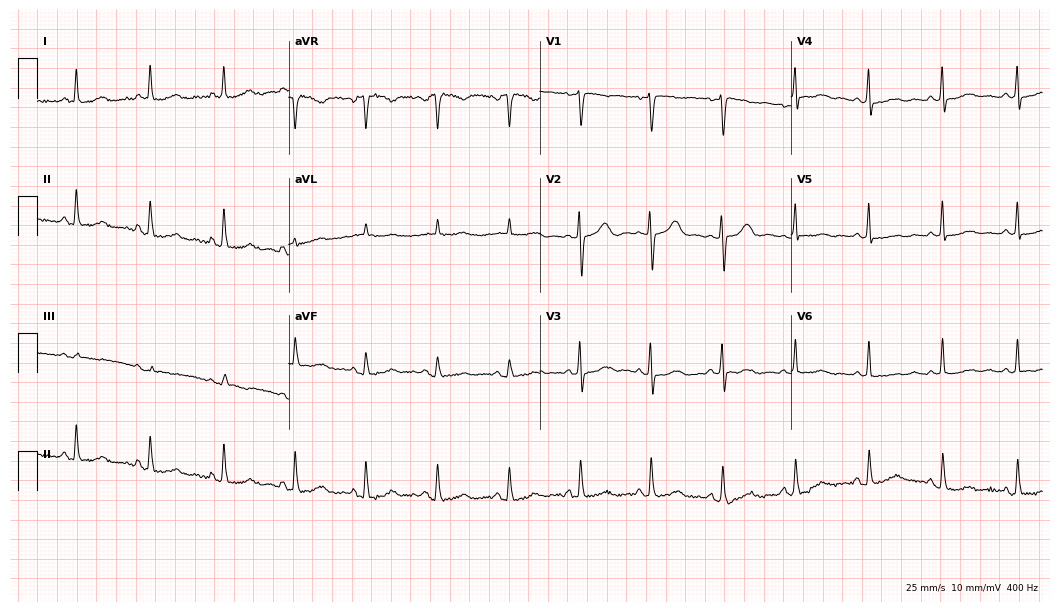
12-lead ECG from a 61-year-old woman (10.2-second recording at 400 Hz). Recorded interpretation: within normal limits.